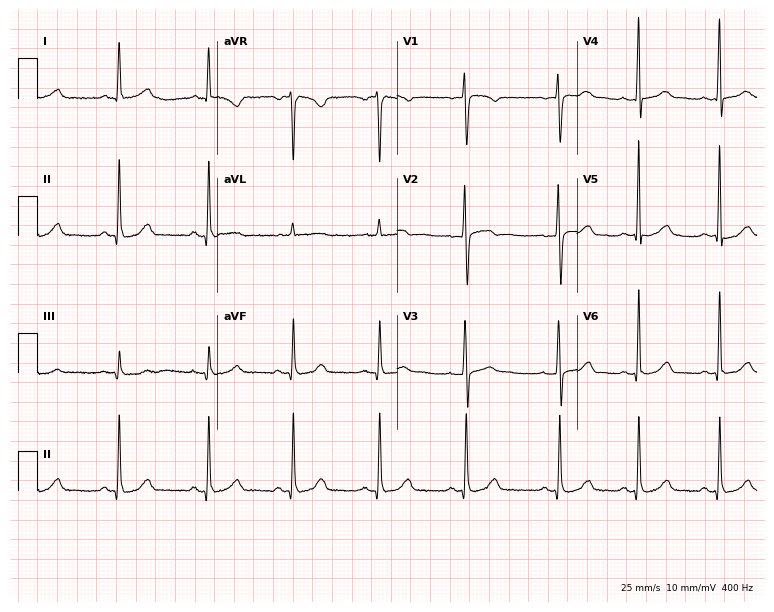
Standard 12-lead ECG recorded from a female, 59 years old (7.3-second recording at 400 Hz). Read as a normal ECG.